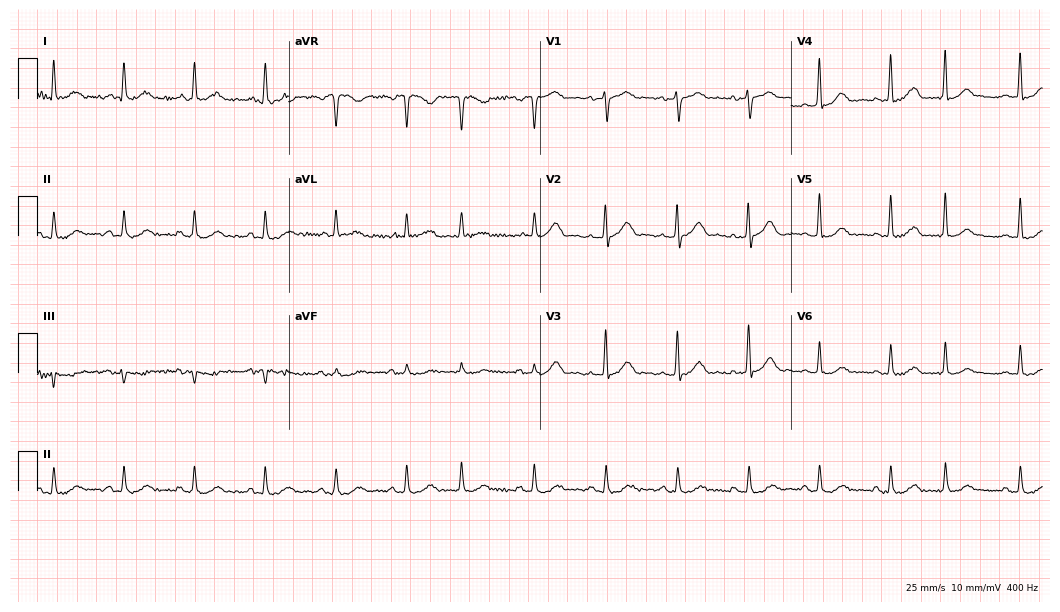
12-lead ECG from a male patient, 70 years old (10.2-second recording at 400 Hz). Recorded interpretation: within normal limits.